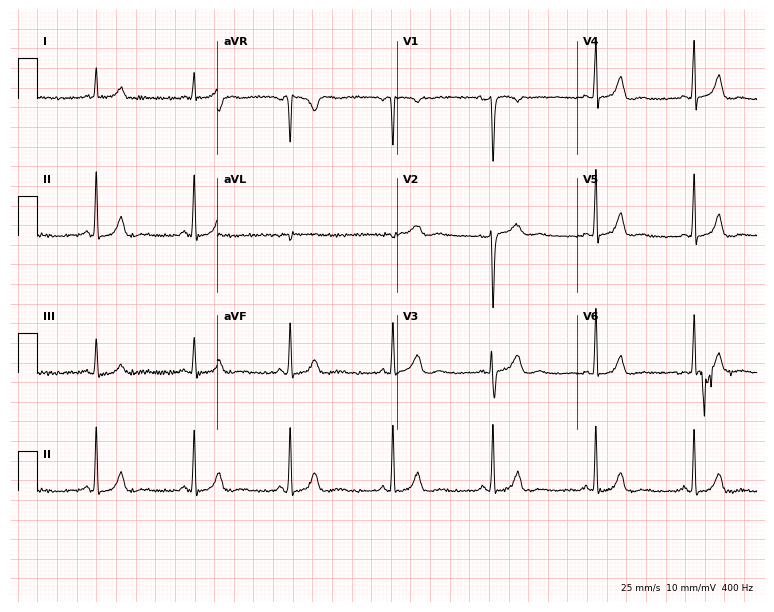
ECG — a female patient, 28 years old. Screened for six findings — first-degree AV block, right bundle branch block (RBBB), left bundle branch block (LBBB), sinus bradycardia, atrial fibrillation (AF), sinus tachycardia — none is recorded. Other findings, if any, are not listed.